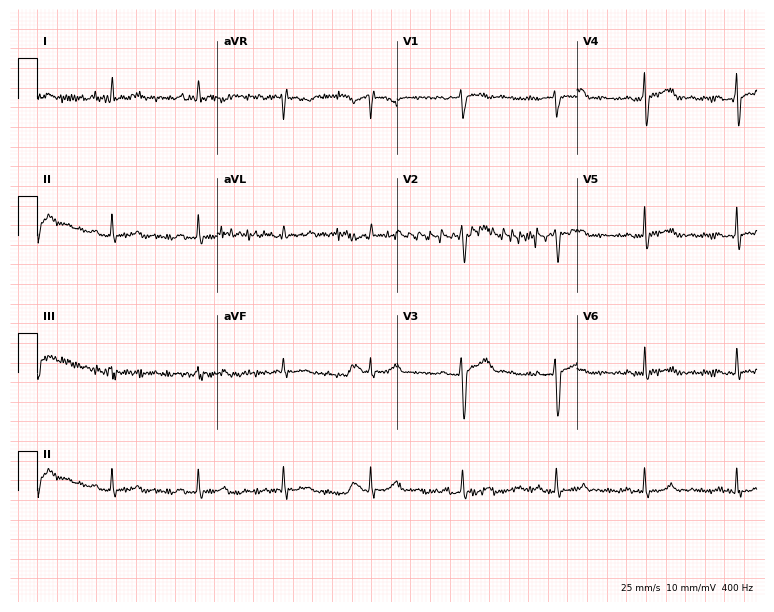
12-lead ECG from a male, 39 years old. Screened for six findings — first-degree AV block, right bundle branch block, left bundle branch block, sinus bradycardia, atrial fibrillation, sinus tachycardia — none is recorded.